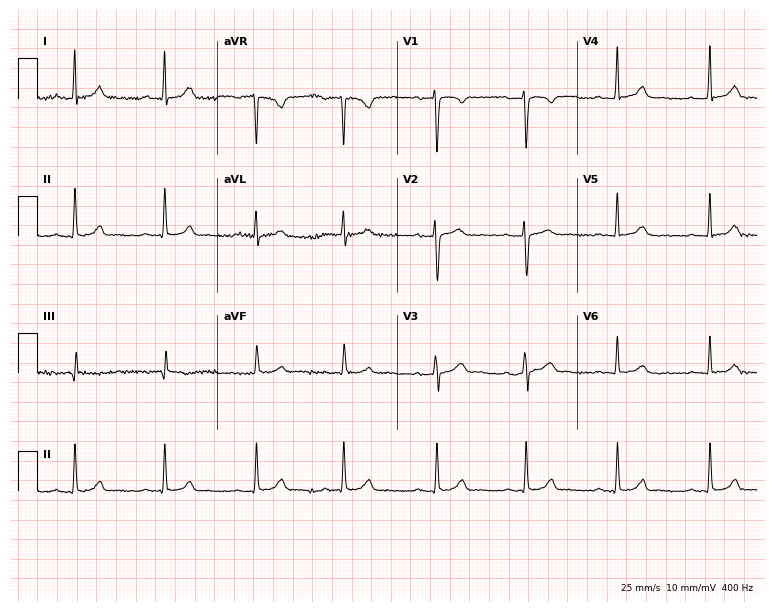
12-lead ECG from a 25-year-old female patient. No first-degree AV block, right bundle branch block, left bundle branch block, sinus bradycardia, atrial fibrillation or sinus tachycardia recorded for this tracing. Findings outside these six are not listed.